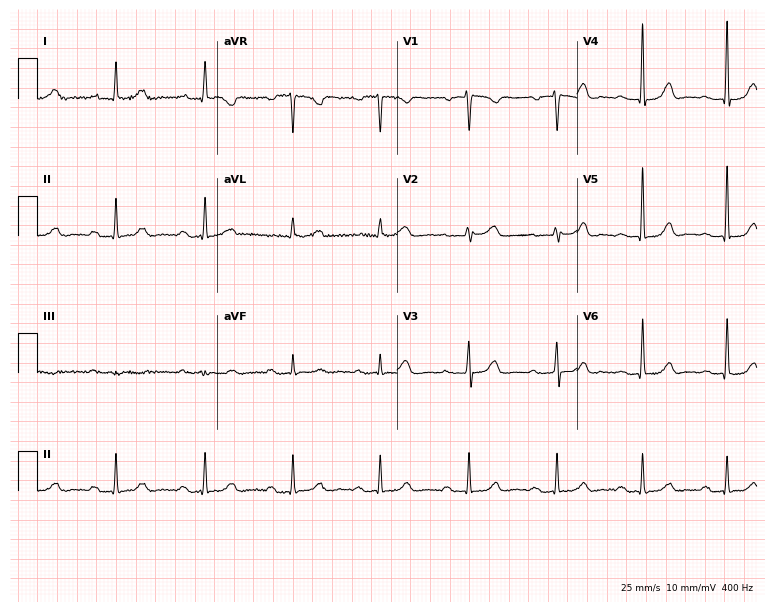
Resting 12-lead electrocardiogram. Patient: a woman, 57 years old. The tracing shows first-degree AV block.